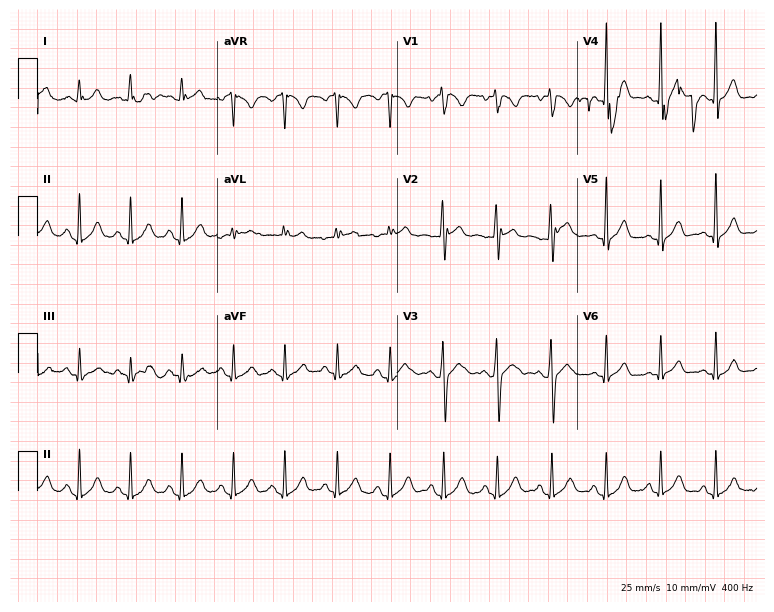
12-lead ECG from a male patient, 18 years old (7.3-second recording at 400 Hz). Shows sinus tachycardia (a sinus rate of 100 beats per minute or more).